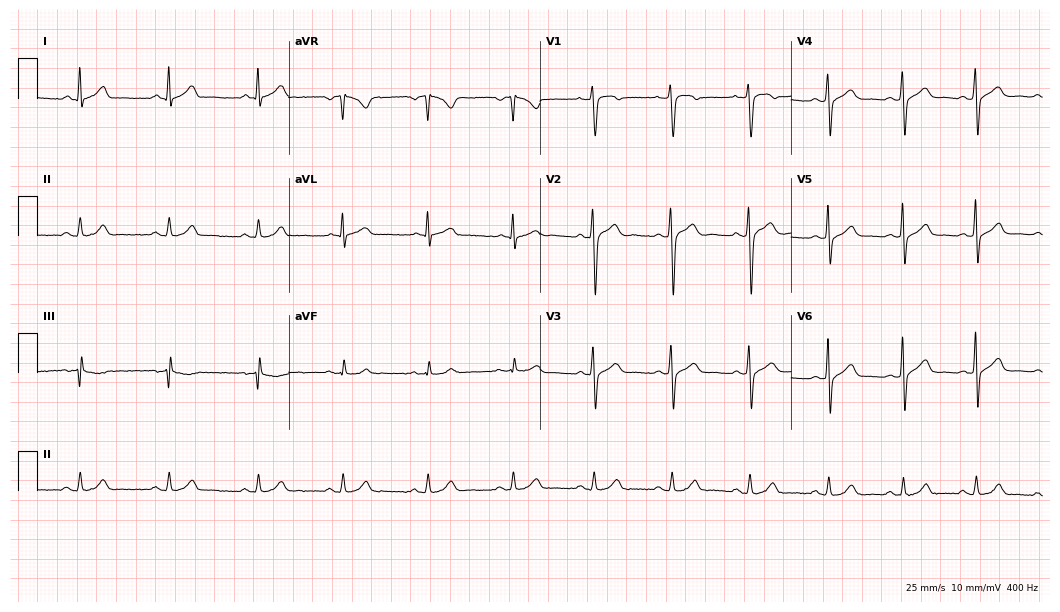
12-lead ECG from a male, 36 years old. Recorded interpretation: within normal limits.